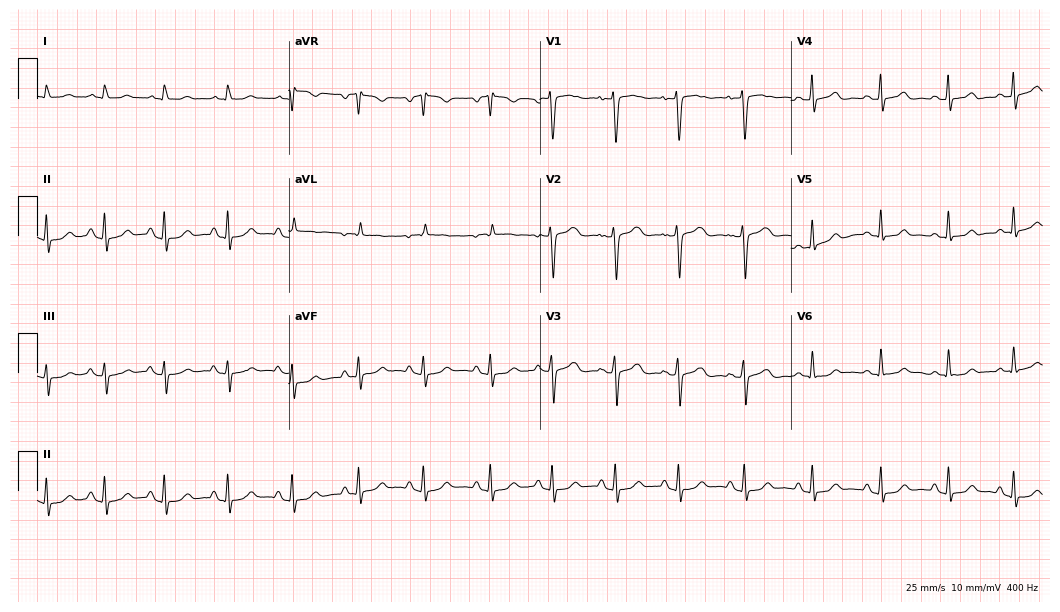
Resting 12-lead electrocardiogram. Patient: a woman, 23 years old. Read as a normal ECG.